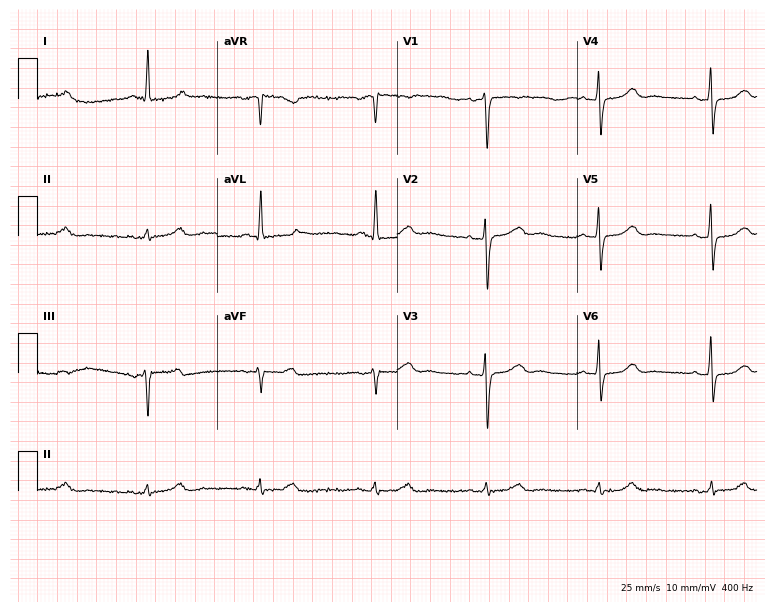
Standard 12-lead ECG recorded from a woman, 64 years old (7.3-second recording at 400 Hz). None of these six findings is recorded: first-degree AV block, right bundle branch block (RBBB), left bundle branch block (LBBB), sinus bradycardia, atrial fibrillation (AF), sinus tachycardia.